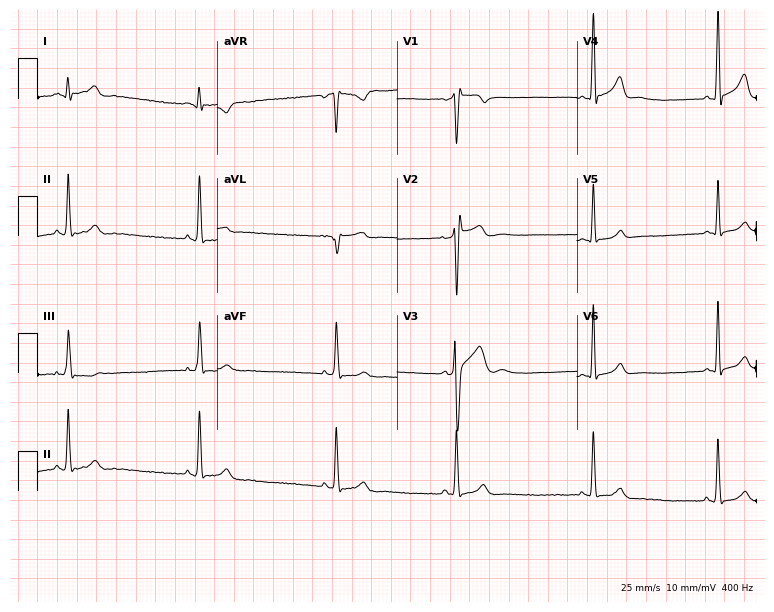
Resting 12-lead electrocardiogram. Patient: a 28-year-old man. The tracing shows sinus bradycardia (a sinus rate of 50 beats per minute or less).